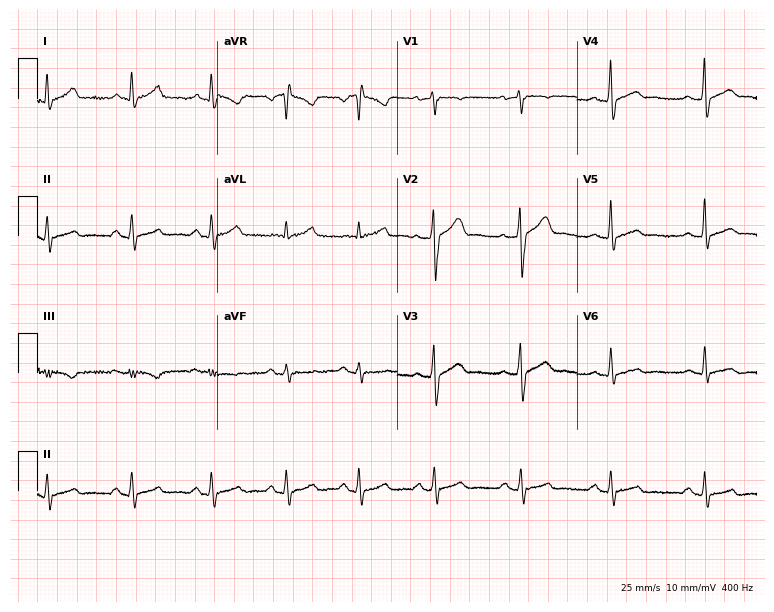
Standard 12-lead ECG recorded from a 25-year-old male. Read as a normal ECG.